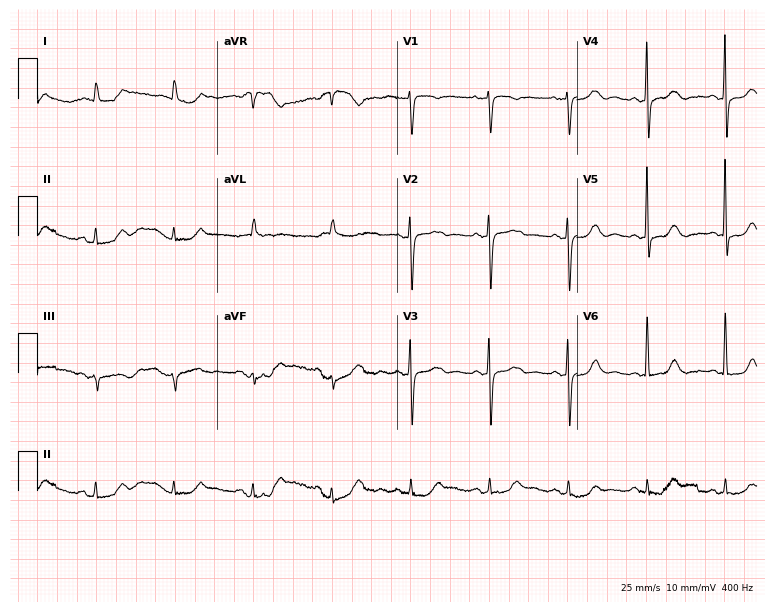
12-lead ECG from a female patient, 80 years old (7.3-second recording at 400 Hz). No first-degree AV block, right bundle branch block, left bundle branch block, sinus bradycardia, atrial fibrillation or sinus tachycardia recorded for this tracing. Findings outside these six are not listed.